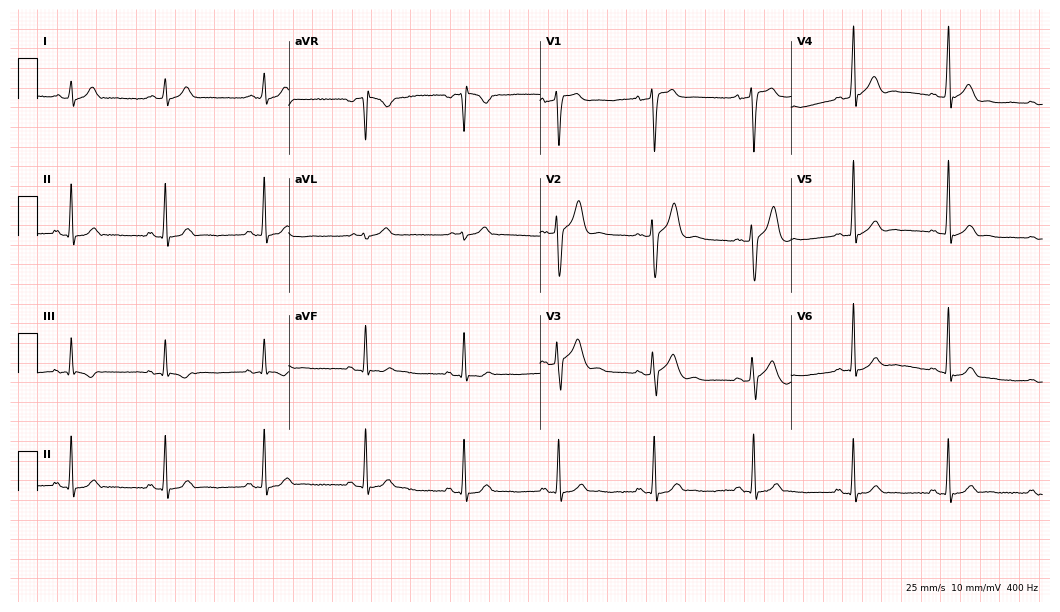
Resting 12-lead electrocardiogram. Patient: a male, 28 years old. Read as a normal ECG.